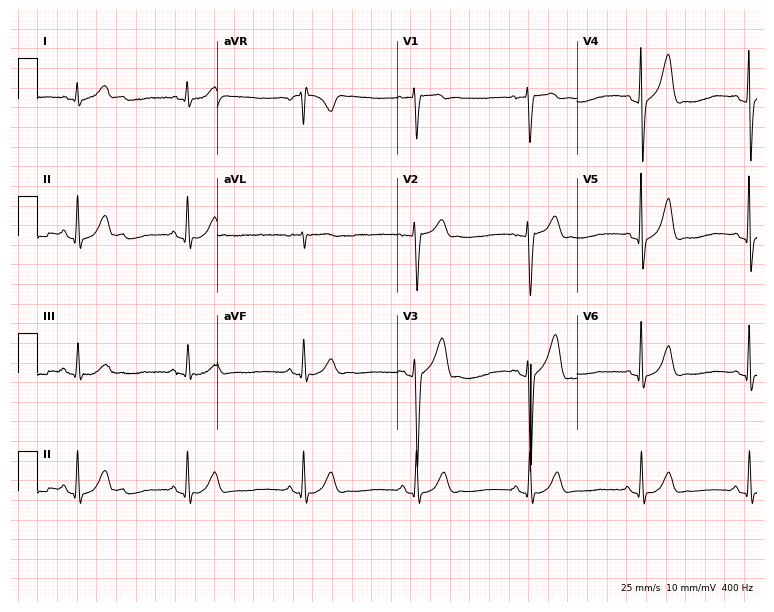
12-lead ECG from a male, 47 years old. No first-degree AV block, right bundle branch block (RBBB), left bundle branch block (LBBB), sinus bradycardia, atrial fibrillation (AF) or sinus tachycardia recorded for this tracing.